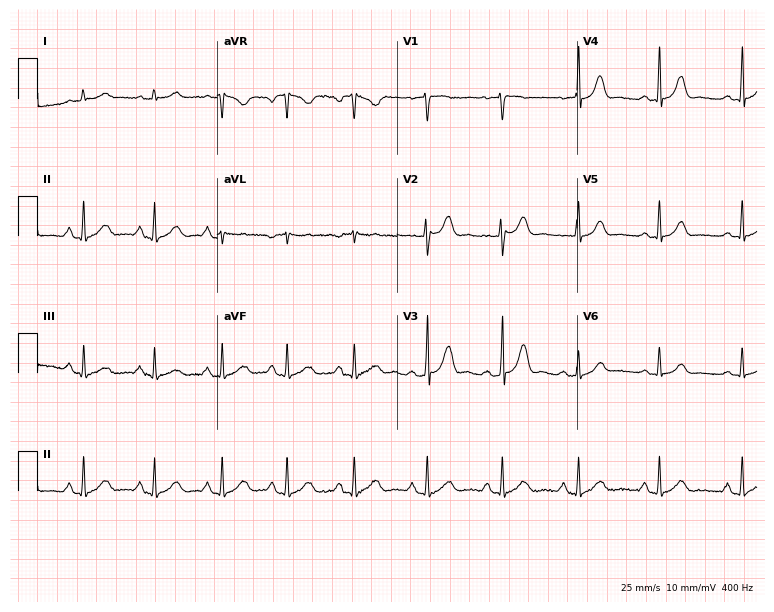
Resting 12-lead electrocardiogram. Patient: a female, 37 years old. Read as a normal ECG.